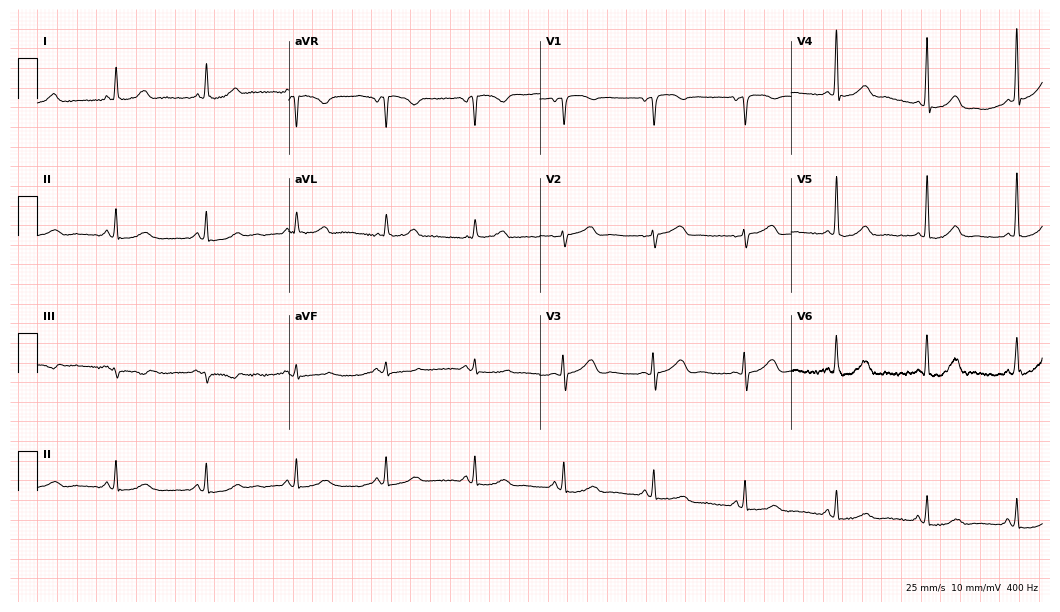
Electrocardiogram, a 69-year-old female patient. Overall reading on record: normal ECG.